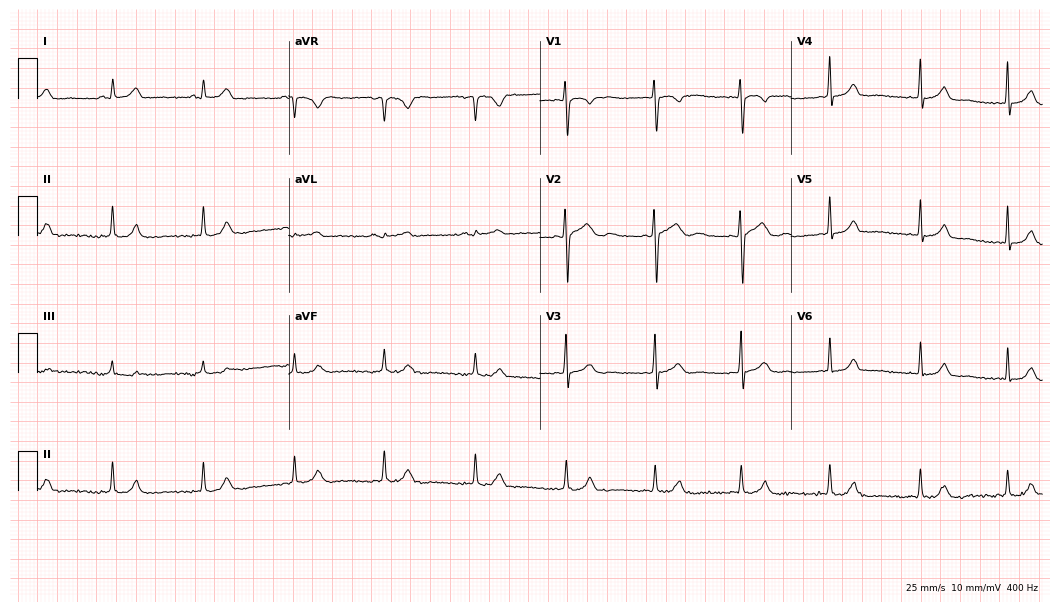
Resting 12-lead electrocardiogram. Patient: a female, 28 years old. Read as a normal ECG.